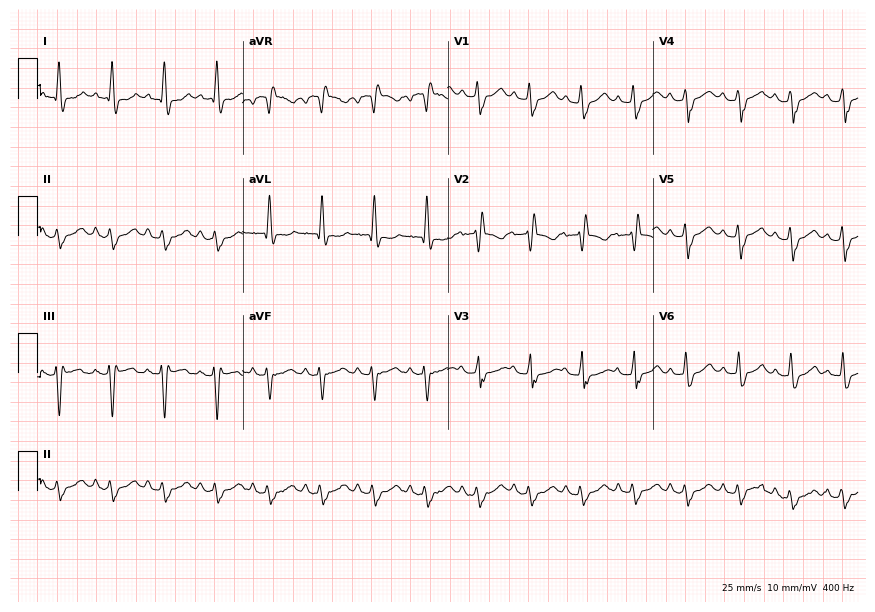
ECG — a 38-year-old male. Findings include right bundle branch block (RBBB), sinus tachycardia (a sinus rate of 100 beats per minute or more).